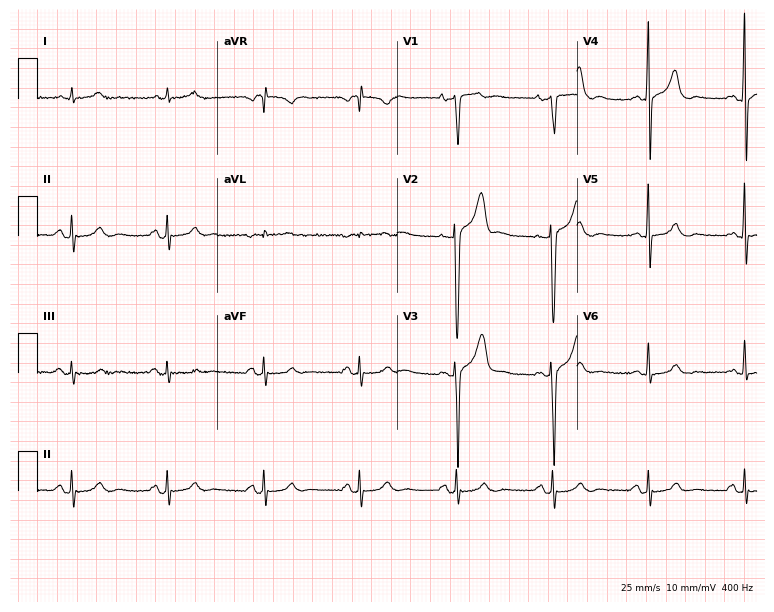
Standard 12-lead ECG recorded from a 71-year-old male. Read as a normal ECG.